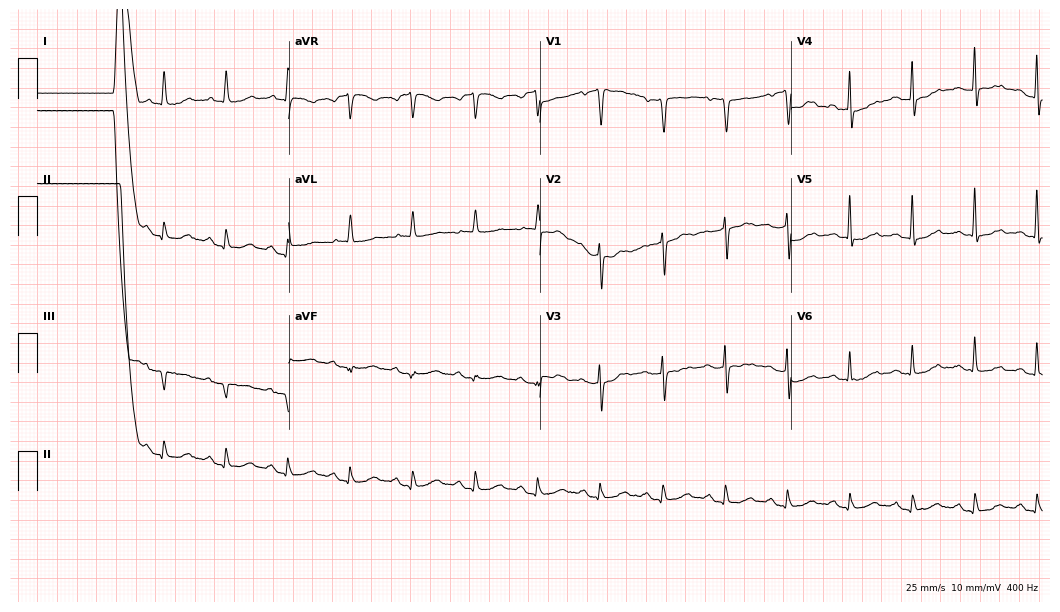
Standard 12-lead ECG recorded from a 77-year-old male. None of these six findings is recorded: first-degree AV block, right bundle branch block, left bundle branch block, sinus bradycardia, atrial fibrillation, sinus tachycardia.